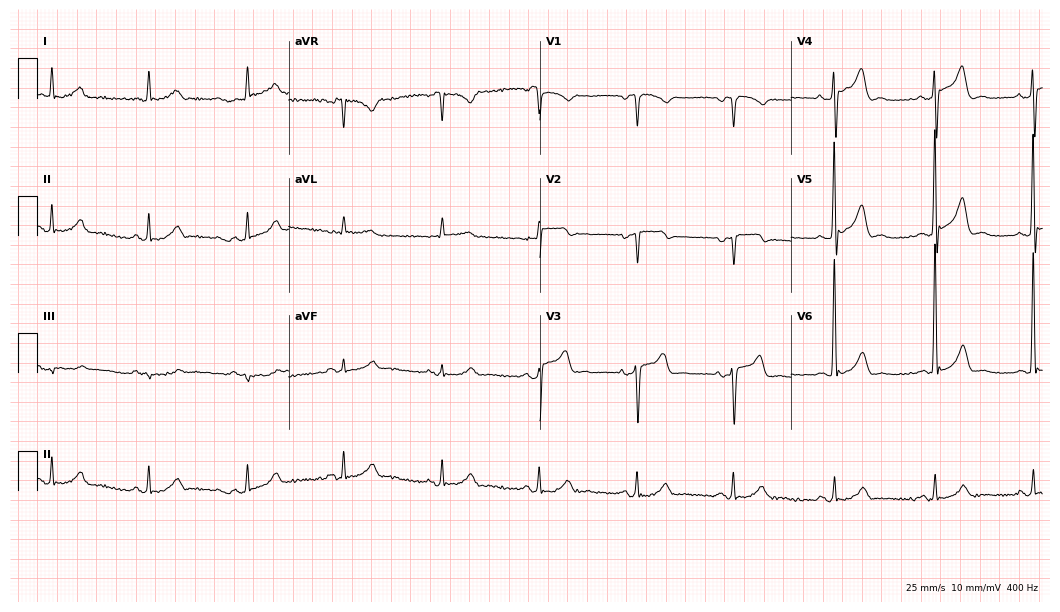
Electrocardiogram, an 84-year-old man. Overall reading on record: normal ECG.